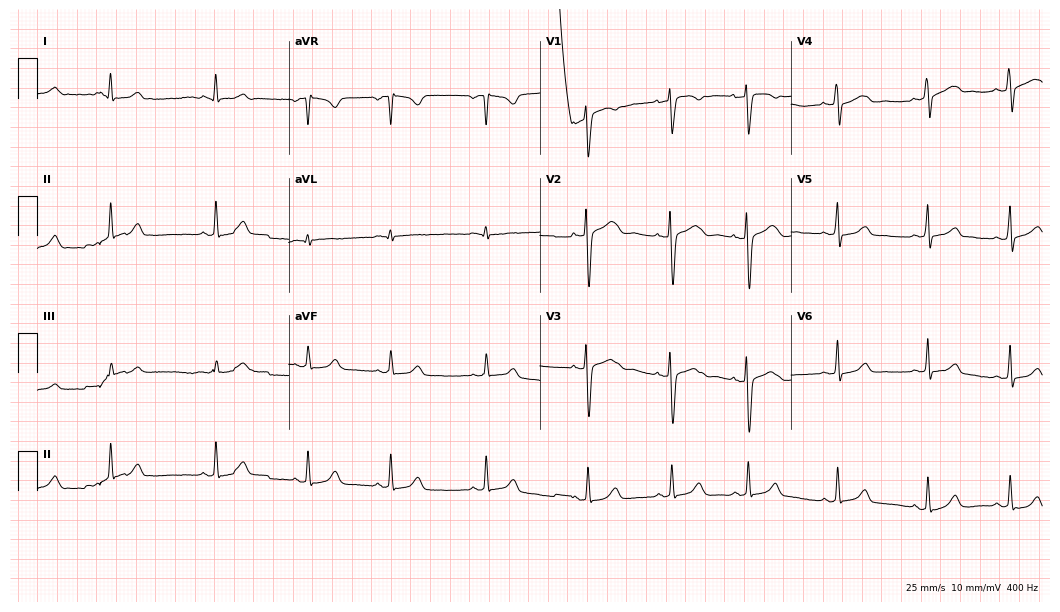
12-lead ECG from a woman, 31 years old (10.2-second recording at 400 Hz). No first-degree AV block, right bundle branch block, left bundle branch block, sinus bradycardia, atrial fibrillation or sinus tachycardia recorded for this tracing.